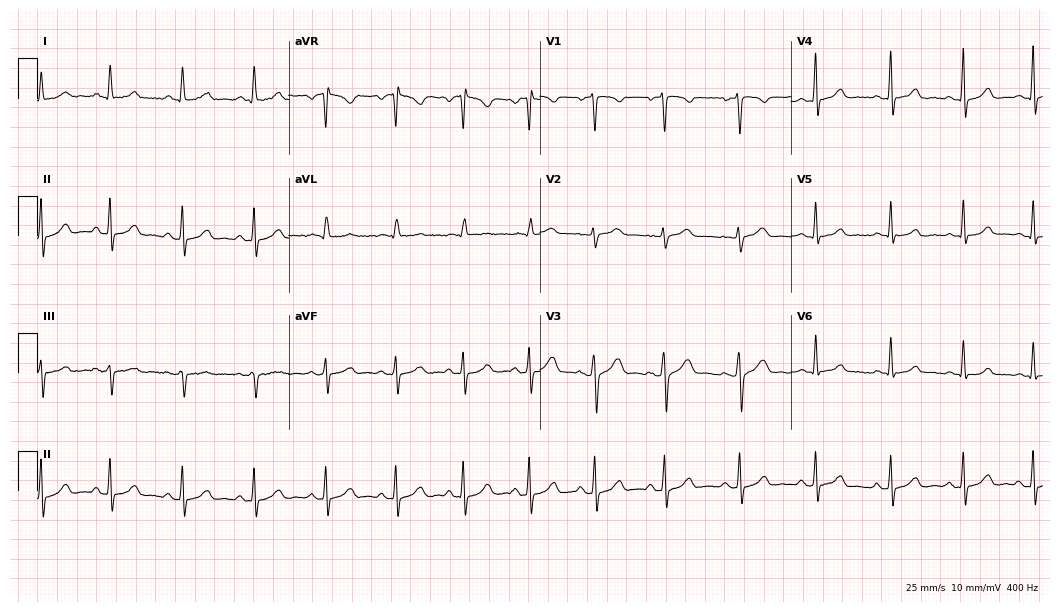
Electrocardiogram (10.2-second recording at 400 Hz), a 35-year-old female. Of the six screened findings (first-degree AV block, right bundle branch block, left bundle branch block, sinus bradycardia, atrial fibrillation, sinus tachycardia), none is recorded.